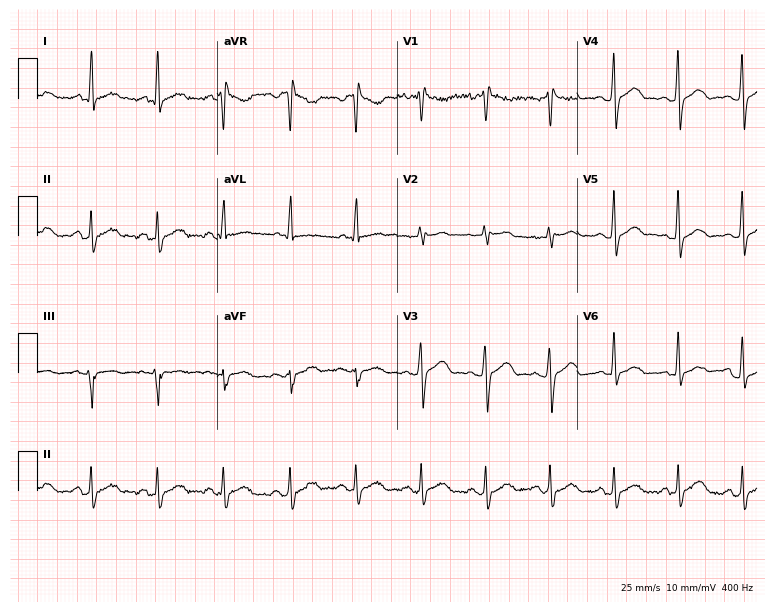
ECG — a 38-year-old female patient. Screened for six findings — first-degree AV block, right bundle branch block, left bundle branch block, sinus bradycardia, atrial fibrillation, sinus tachycardia — none is recorded. Findings outside these six are not listed.